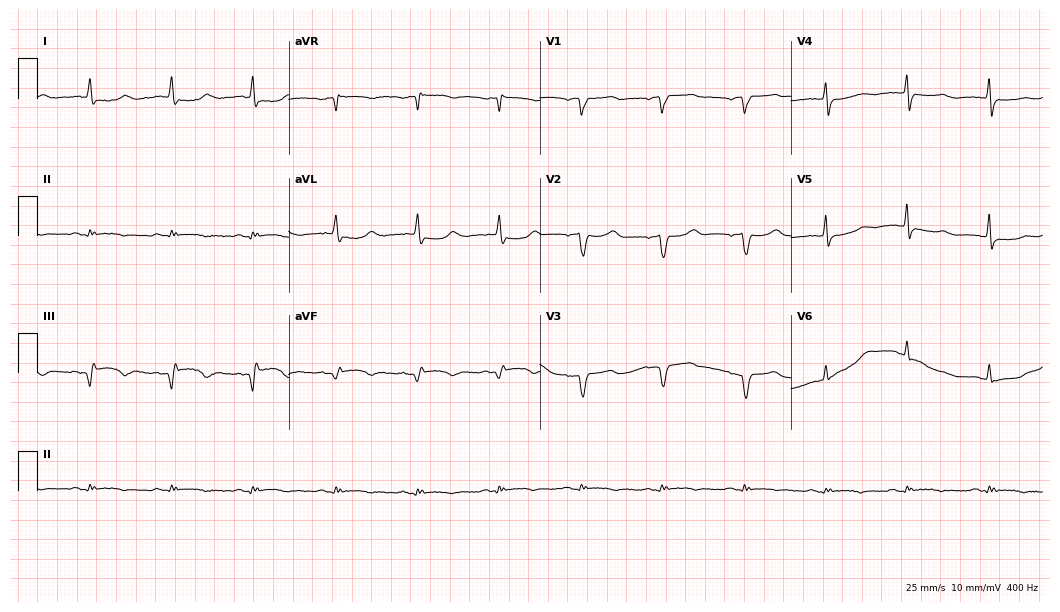
Resting 12-lead electrocardiogram (10.2-second recording at 400 Hz). Patient: a male, 60 years old. None of these six findings is recorded: first-degree AV block, right bundle branch block, left bundle branch block, sinus bradycardia, atrial fibrillation, sinus tachycardia.